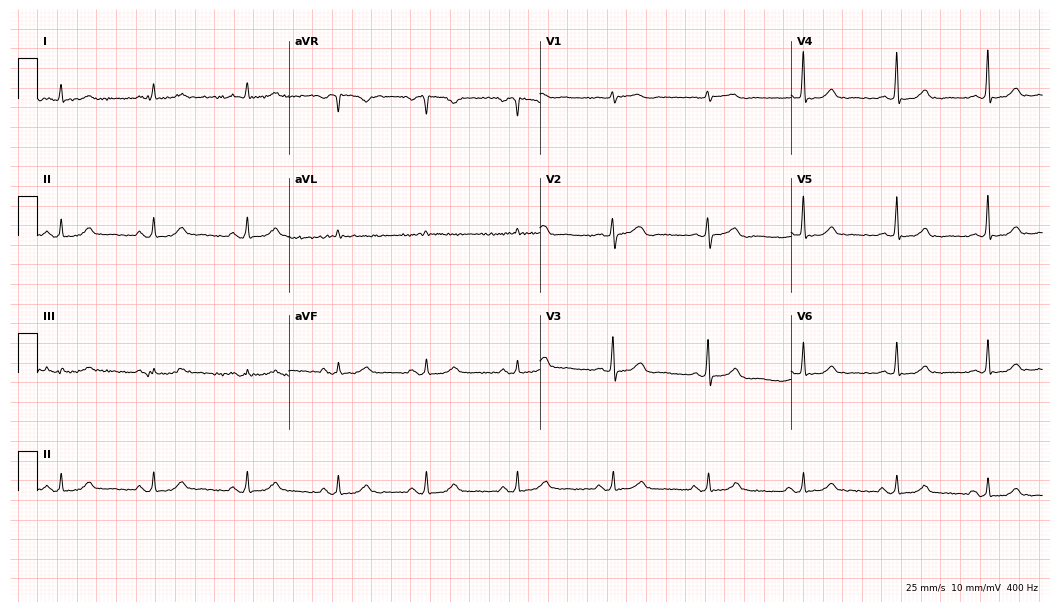
Electrocardiogram (10.2-second recording at 400 Hz), a 70-year-old female. Overall reading on record: normal ECG.